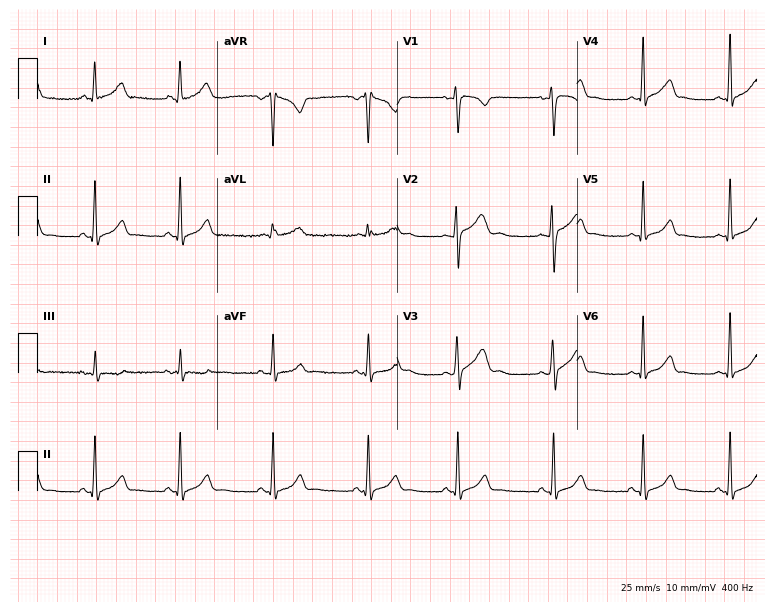
Standard 12-lead ECG recorded from a 32-year-old female (7.3-second recording at 400 Hz). Read as a normal ECG.